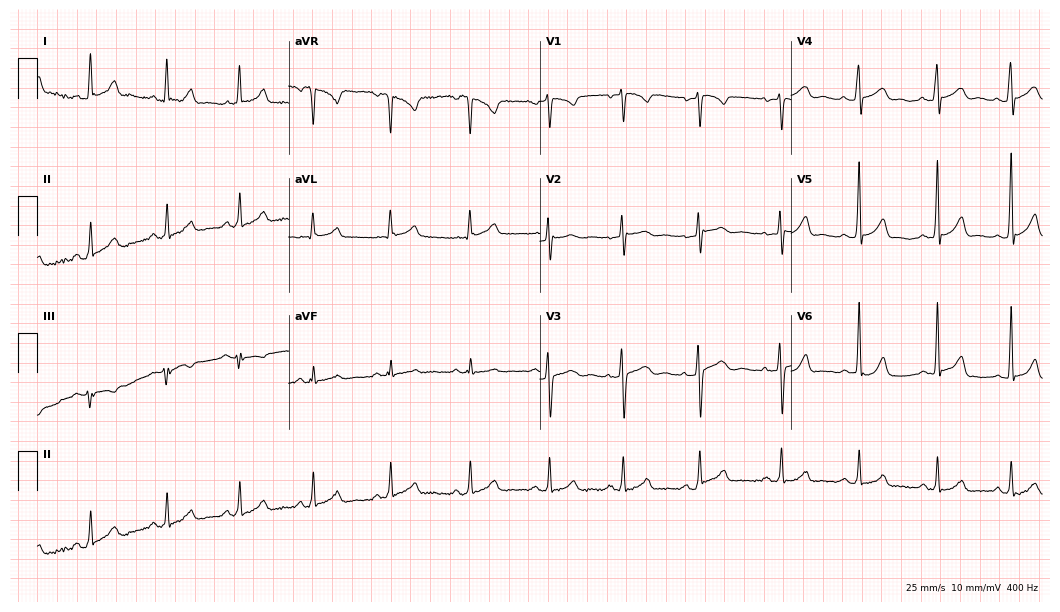
Standard 12-lead ECG recorded from a female, 27 years old (10.2-second recording at 400 Hz). None of these six findings is recorded: first-degree AV block, right bundle branch block, left bundle branch block, sinus bradycardia, atrial fibrillation, sinus tachycardia.